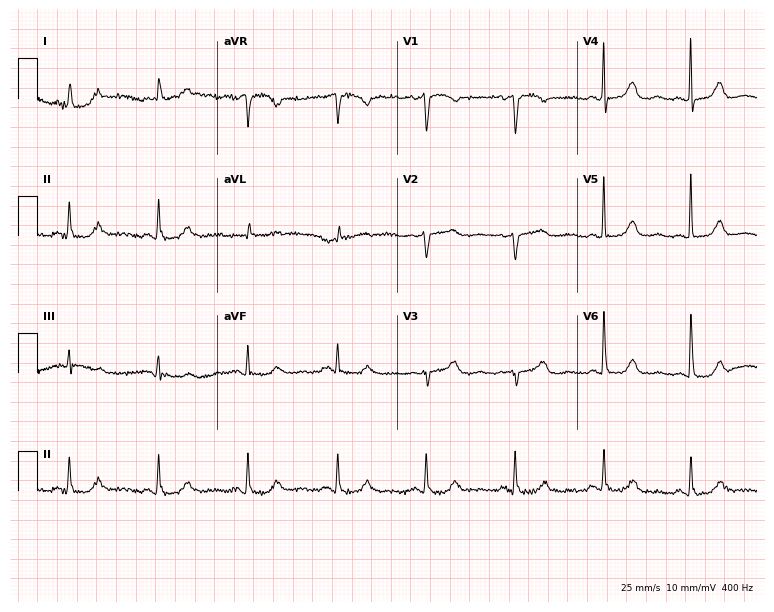
ECG (7.3-second recording at 400 Hz) — a female patient, 71 years old. Screened for six findings — first-degree AV block, right bundle branch block (RBBB), left bundle branch block (LBBB), sinus bradycardia, atrial fibrillation (AF), sinus tachycardia — none is recorded.